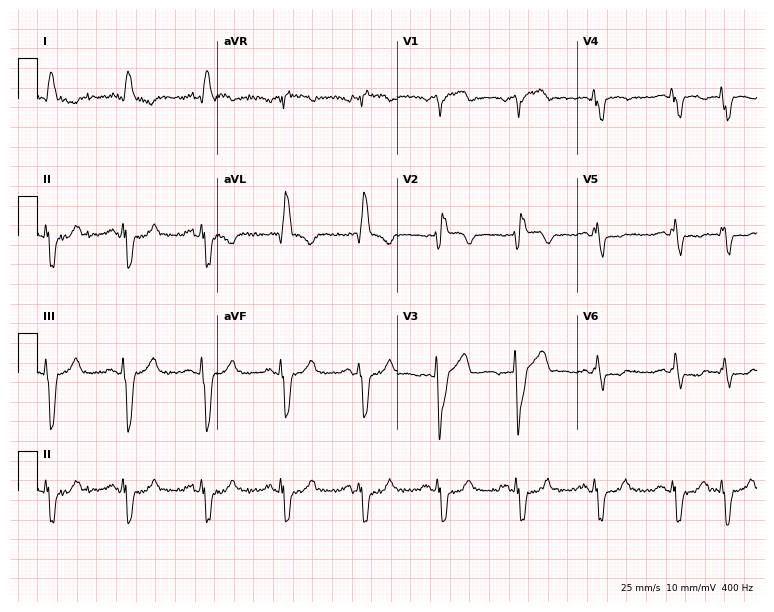
ECG — a 61-year-old male. Findings include right bundle branch block.